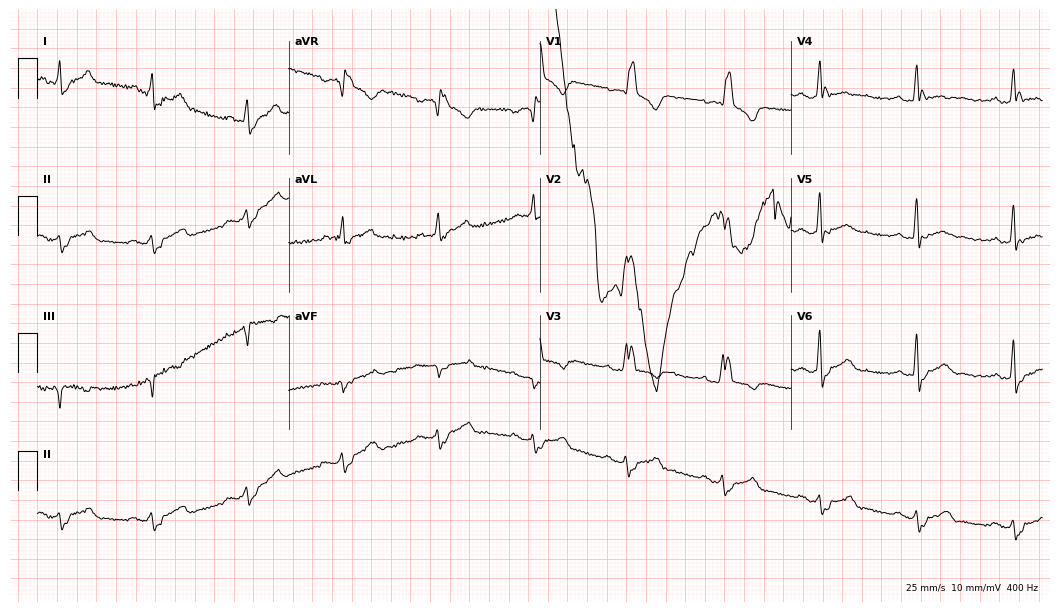
12-lead ECG from a 58-year-old male patient. Screened for six findings — first-degree AV block, right bundle branch block, left bundle branch block, sinus bradycardia, atrial fibrillation, sinus tachycardia — none is recorded.